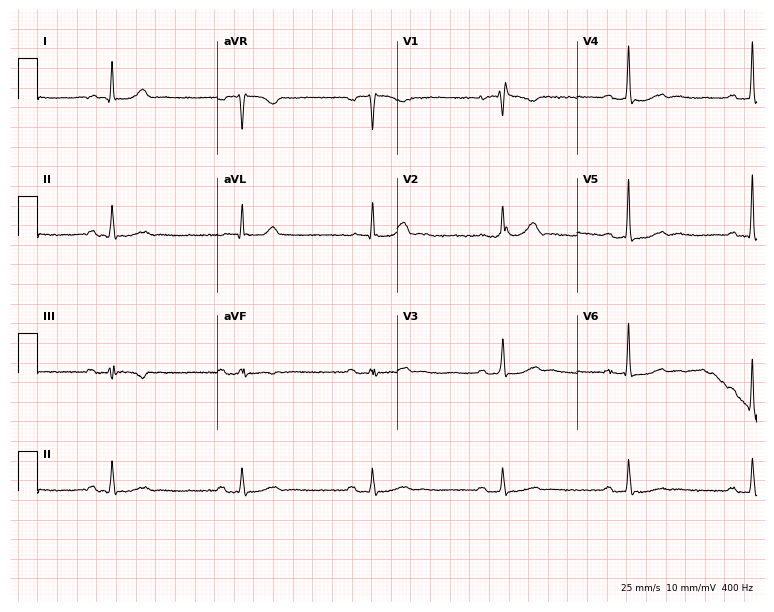
Electrocardiogram (7.3-second recording at 400 Hz), a 57-year-old female. Interpretation includes first-degree AV block.